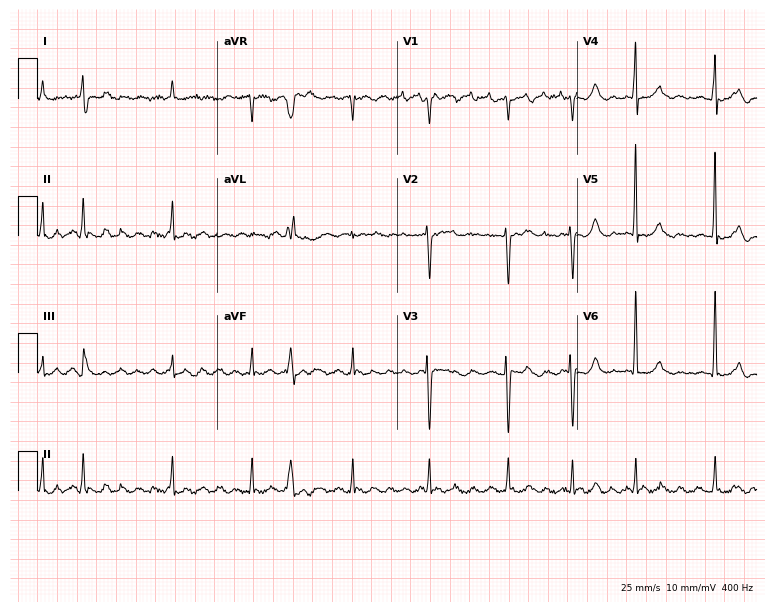
12-lead ECG from a woman, 45 years old. No first-degree AV block, right bundle branch block (RBBB), left bundle branch block (LBBB), sinus bradycardia, atrial fibrillation (AF) or sinus tachycardia recorded for this tracing. Findings outside these six are not listed.